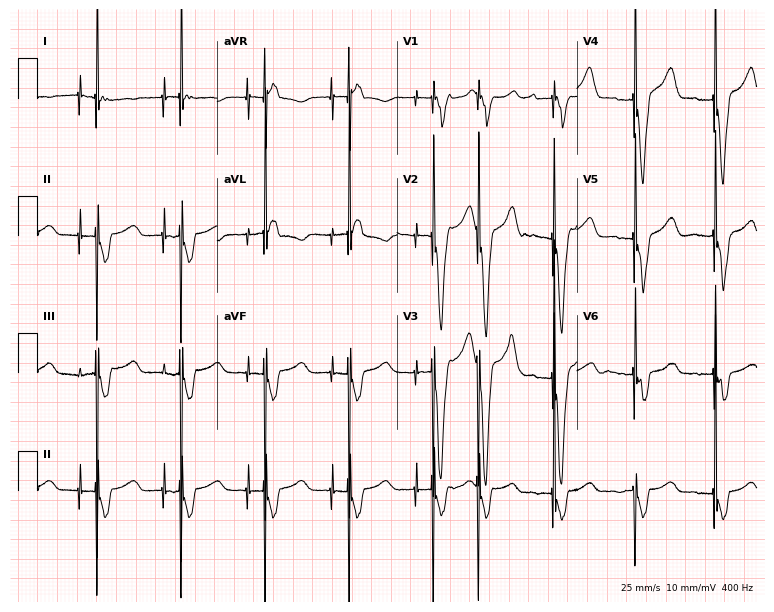
Resting 12-lead electrocardiogram (7.3-second recording at 400 Hz). Patient: a 64-year-old male. None of these six findings is recorded: first-degree AV block, right bundle branch block (RBBB), left bundle branch block (LBBB), sinus bradycardia, atrial fibrillation (AF), sinus tachycardia.